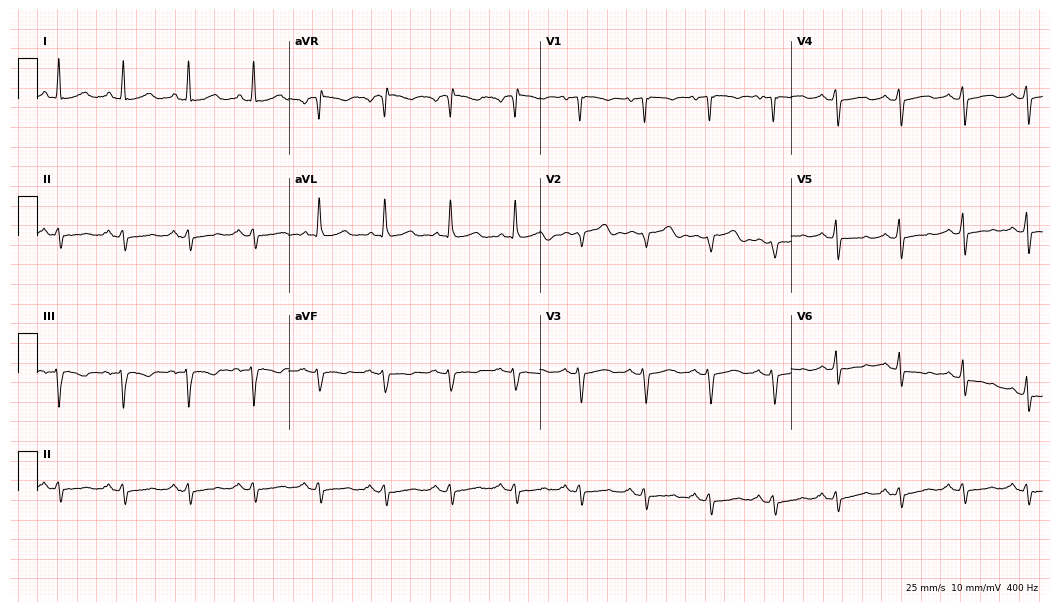
ECG (10.2-second recording at 400 Hz) — a female patient, 69 years old. Screened for six findings — first-degree AV block, right bundle branch block, left bundle branch block, sinus bradycardia, atrial fibrillation, sinus tachycardia — none is recorded. Other findings, if any, are not listed.